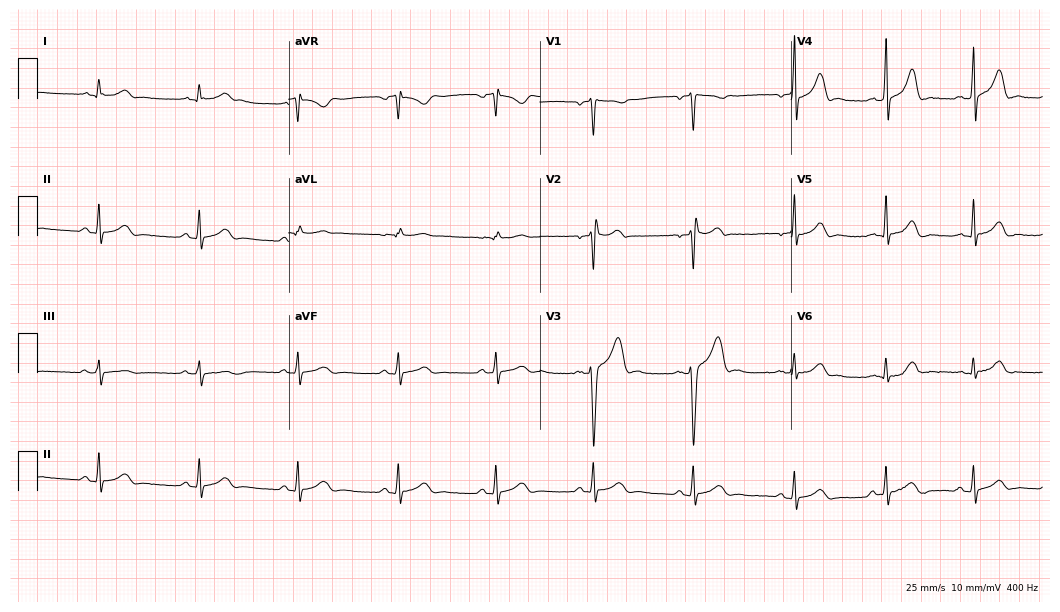
Standard 12-lead ECG recorded from a 25-year-old male (10.2-second recording at 400 Hz). None of these six findings is recorded: first-degree AV block, right bundle branch block (RBBB), left bundle branch block (LBBB), sinus bradycardia, atrial fibrillation (AF), sinus tachycardia.